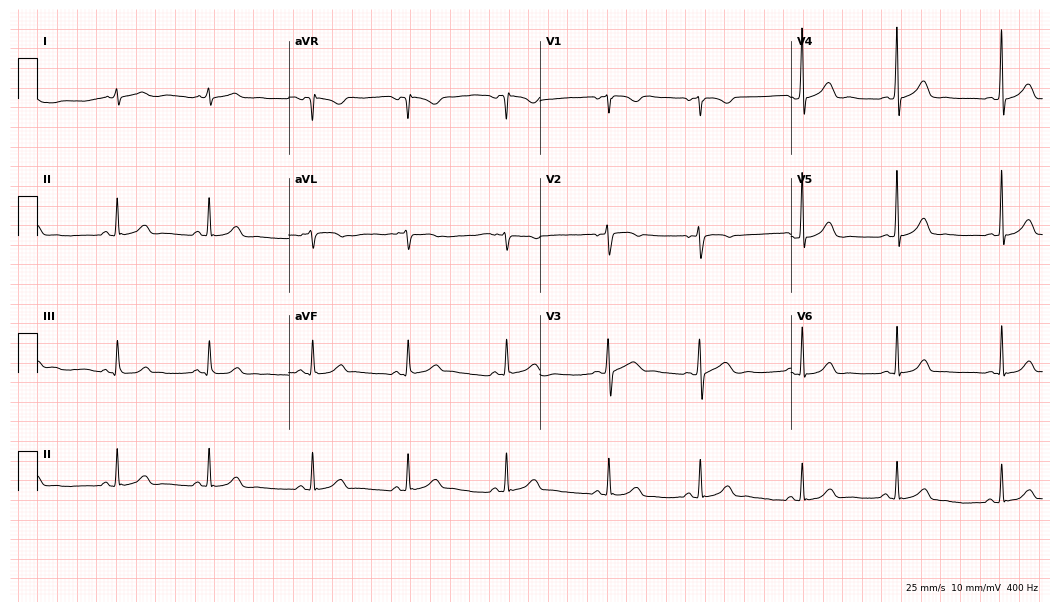
Resting 12-lead electrocardiogram (10.2-second recording at 400 Hz). Patient: a female, 21 years old. Read as a normal ECG.